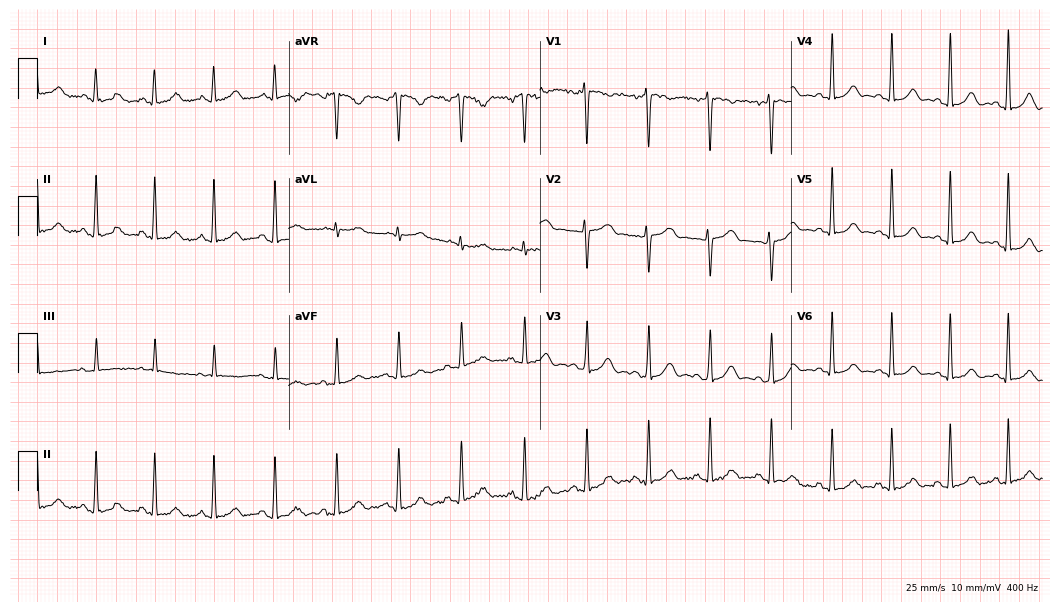
Resting 12-lead electrocardiogram (10.2-second recording at 400 Hz). Patient: a female, 33 years old. None of these six findings is recorded: first-degree AV block, right bundle branch block, left bundle branch block, sinus bradycardia, atrial fibrillation, sinus tachycardia.